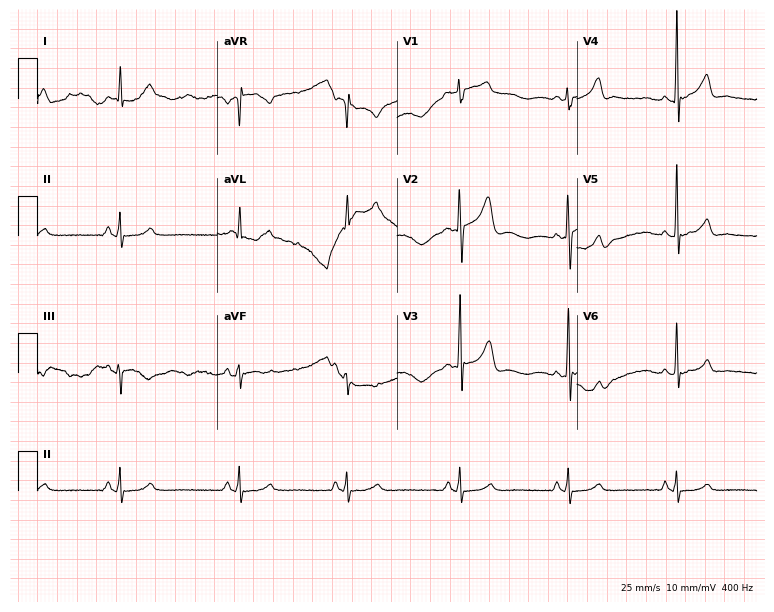
12-lead ECG from a male, 55 years old. Recorded interpretation: within normal limits.